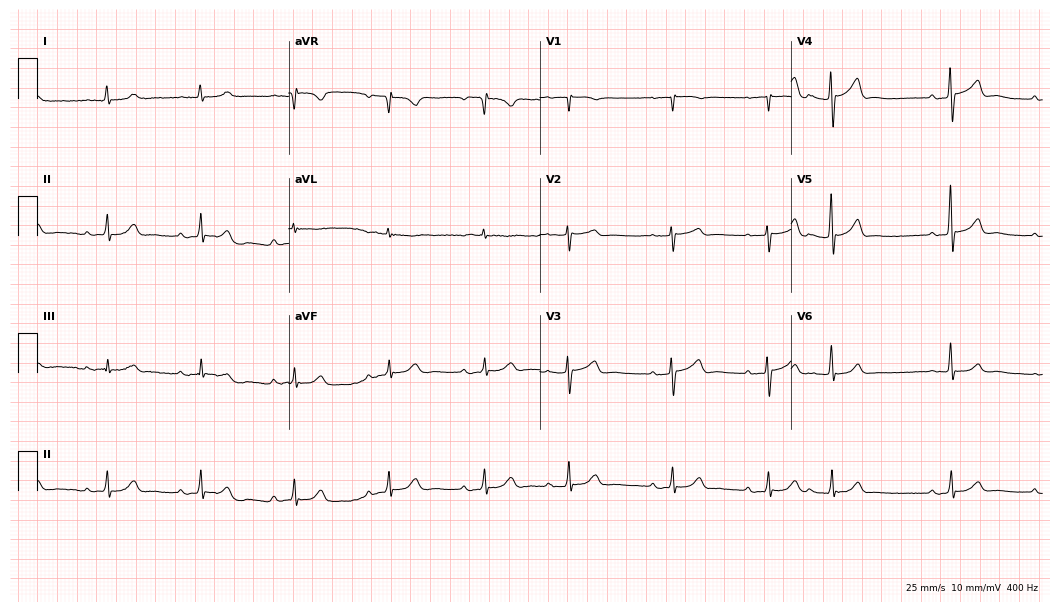
ECG — a 75-year-old male. Screened for six findings — first-degree AV block, right bundle branch block (RBBB), left bundle branch block (LBBB), sinus bradycardia, atrial fibrillation (AF), sinus tachycardia — none is recorded.